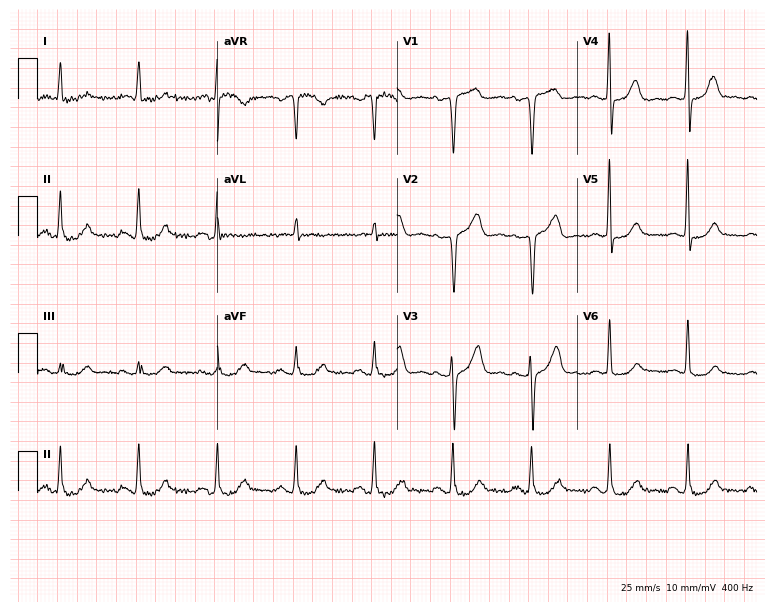
Electrocardiogram (7.3-second recording at 400 Hz), a woman, 62 years old. Of the six screened findings (first-degree AV block, right bundle branch block, left bundle branch block, sinus bradycardia, atrial fibrillation, sinus tachycardia), none is recorded. Other findings, if any, are not listed.